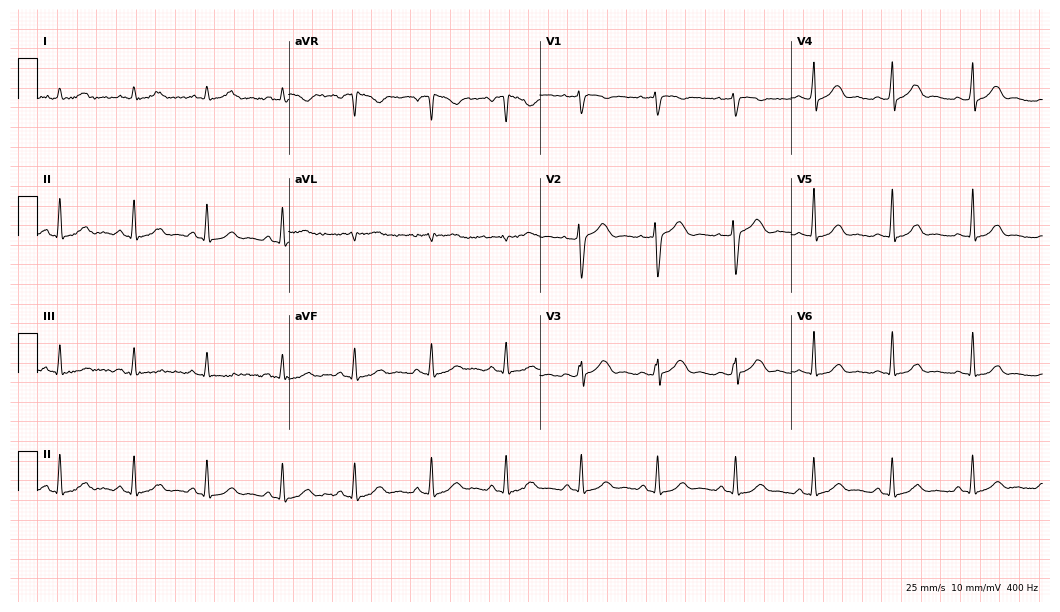
Standard 12-lead ECG recorded from a 44-year-old woman. Read as a normal ECG.